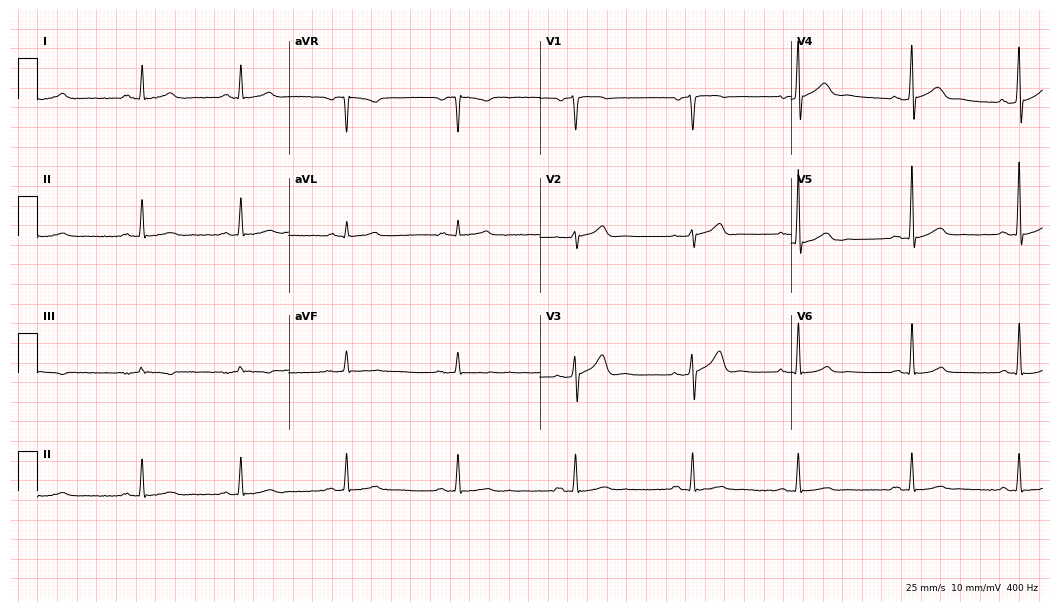
Electrocardiogram (10.2-second recording at 400 Hz), a 40-year-old male. Overall reading on record: normal ECG.